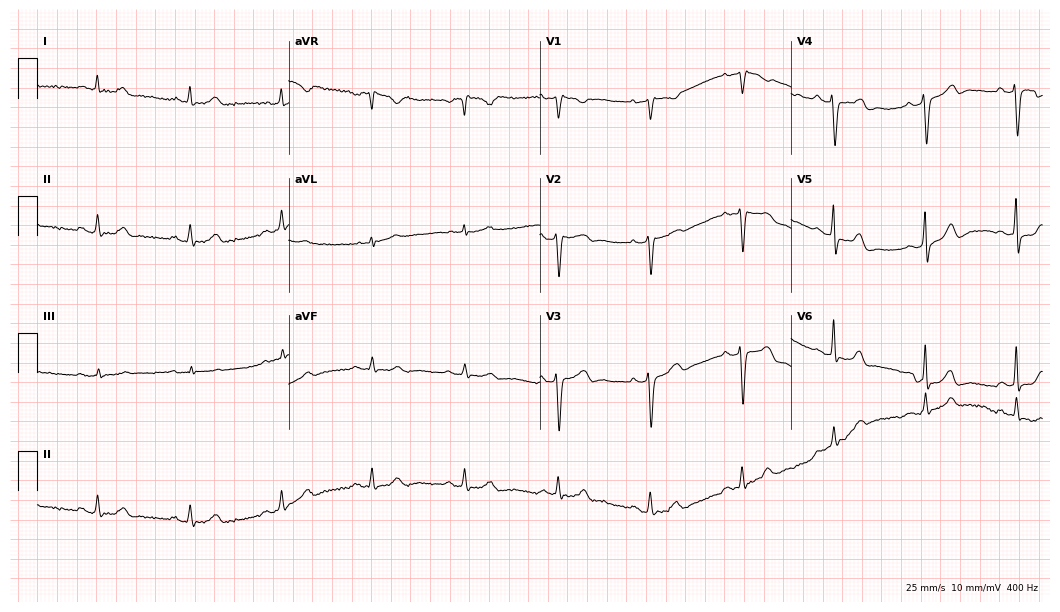
Resting 12-lead electrocardiogram (10.2-second recording at 400 Hz). Patient: a male, 80 years old. Read as a normal ECG.